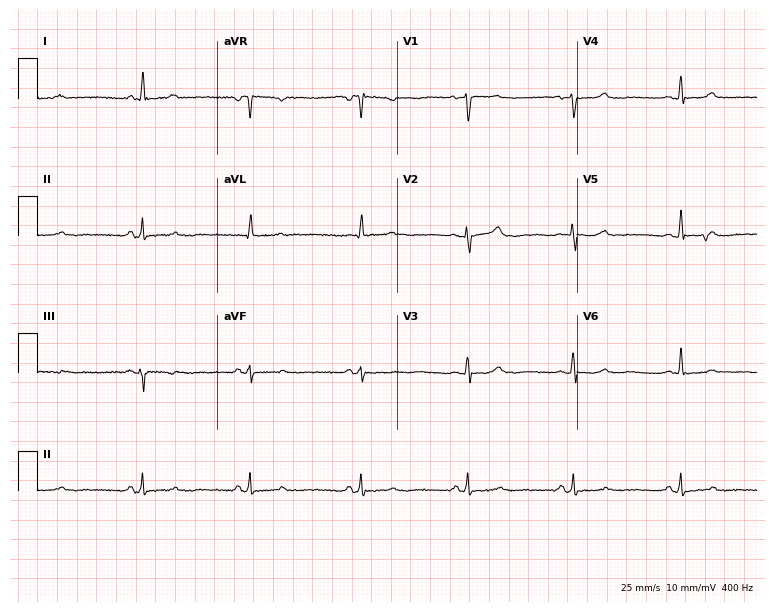
Electrocardiogram, a 64-year-old female. Of the six screened findings (first-degree AV block, right bundle branch block, left bundle branch block, sinus bradycardia, atrial fibrillation, sinus tachycardia), none is recorded.